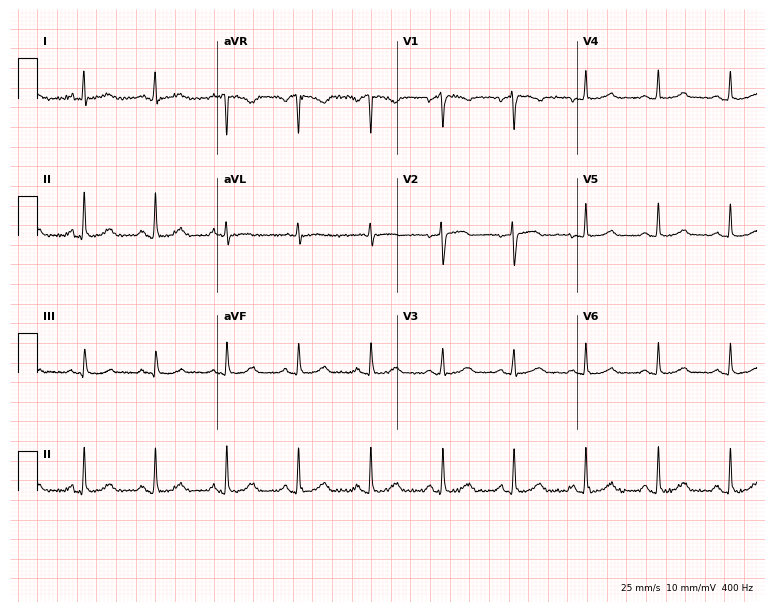
12-lead ECG (7.3-second recording at 400 Hz) from a 45-year-old female. Labelled as a normal ECG.